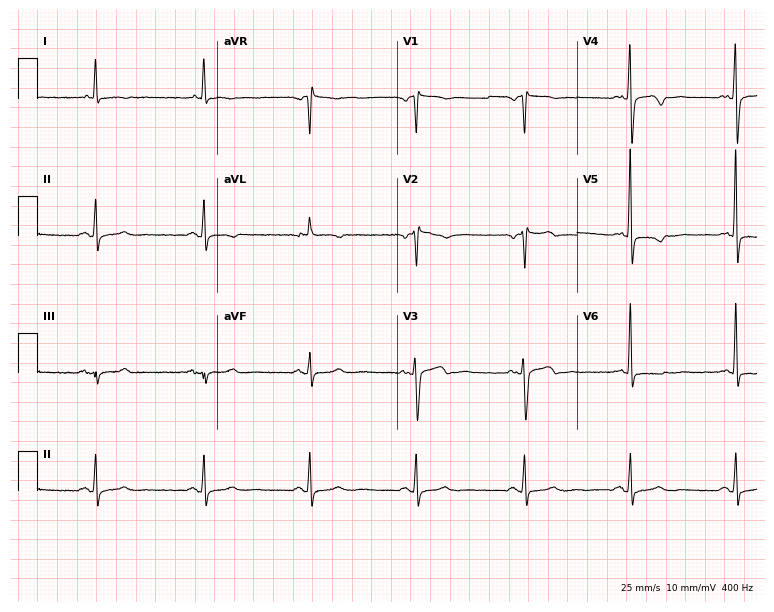
Resting 12-lead electrocardiogram (7.3-second recording at 400 Hz). Patient: a female, 60 years old. None of these six findings is recorded: first-degree AV block, right bundle branch block (RBBB), left bundle branch block (LBBB), sinus bradycardia, atrial fibrillation (AF), sinus tachycardia.